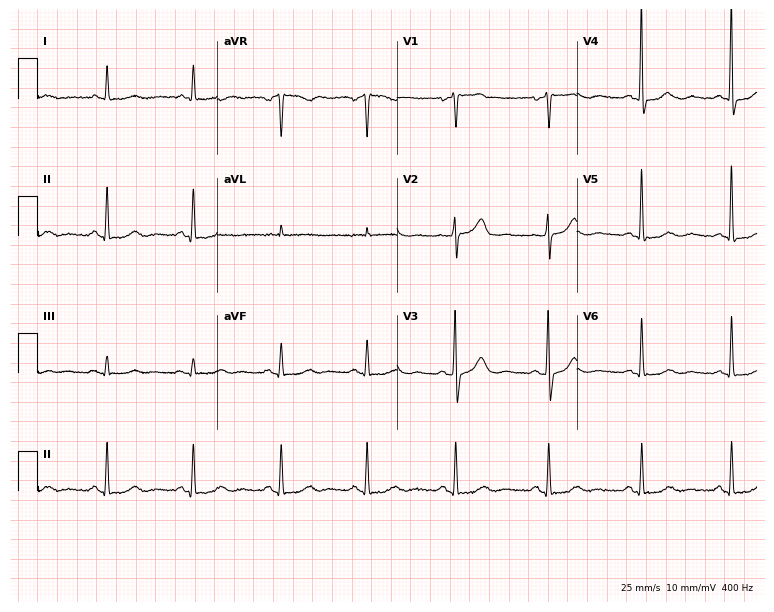
12-lead ECG (7.3-second recording at 400 Hz) from a 58-year-old female. Screened for six findings — first-degree AV block, right bundle branch block, left bundle branch block, sinus bradycardia, atrial fibrillation, sinus tachycardia — none is recorded.